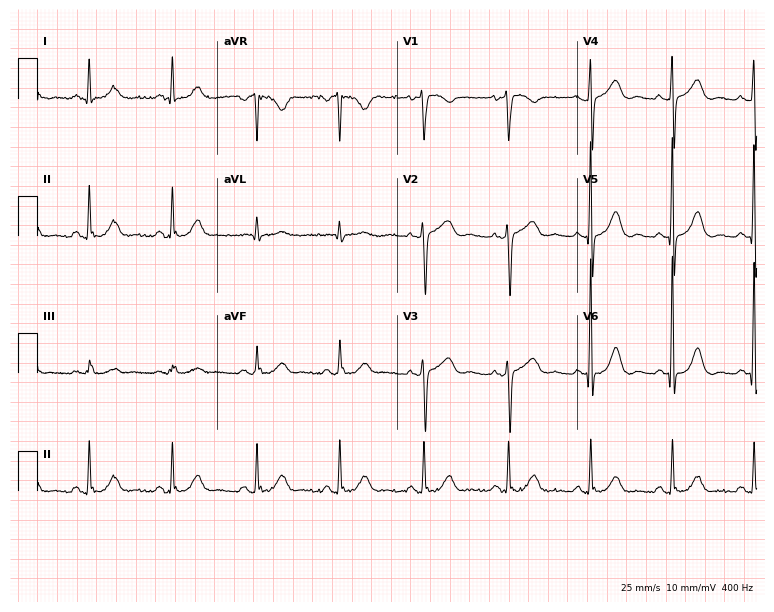
Electrocardiogram, a 78-year-old woman. Of the six screened findings (first-degree AV block, right bundle branch block, left bundle branch block, sinus bradycardia, atrial fibrillation, sinus tachycardia), none is recorded.